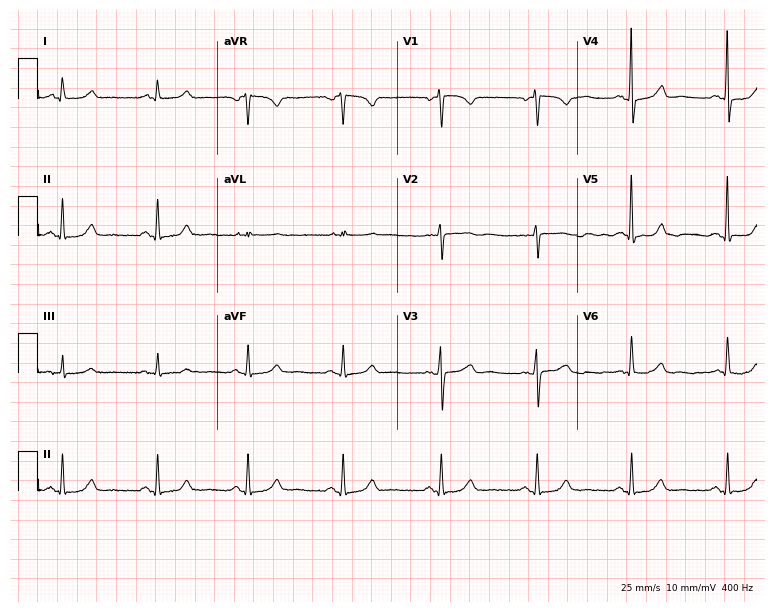
Resting 12-lead electrocardiogram. Patient: a 59-year-old female. Read as a normal ECG.